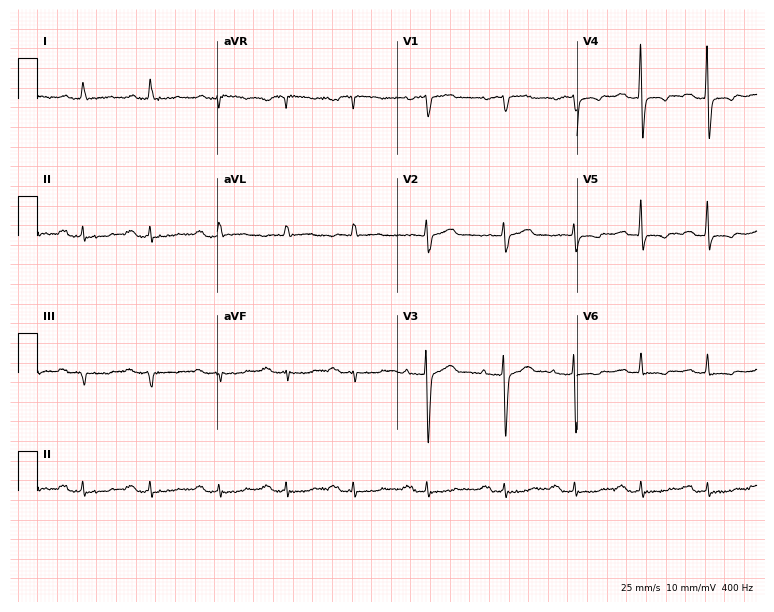
Electrocardiogram (7.3-second recording at 400 Hz), a man, 77 years old. Of the six screened findings (first-degree AV block, right bundle branch block, left bundle branch block, sinus bradycardia, atrial fibrillation, sinus tachycardia), none is recorded. Other findings, if any, are not listed.